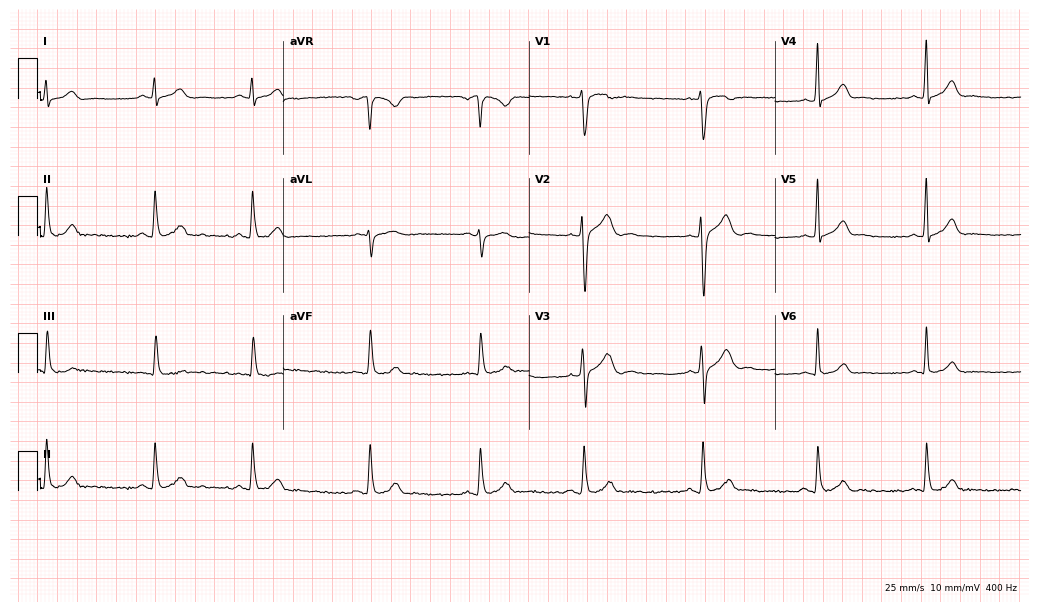
12-lead ECG from a male patient, 26 years old (10-second recording at 400 Hz). No first-degree AV block, right bundle branch block, left bundle branch block, sinus bradycardia, atrial fibrillation or sinus tachycardia recorded for this tracing. Findings outside these six are not listed.